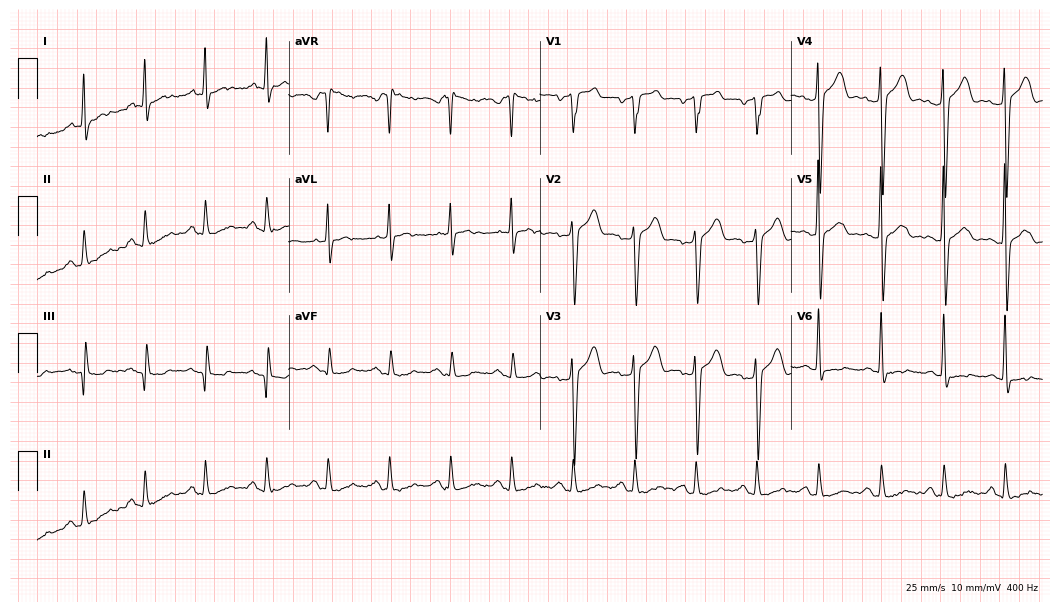
Standard 12-lead ECG recorded from a male patient, 47 years old. Read as a normal ECG.